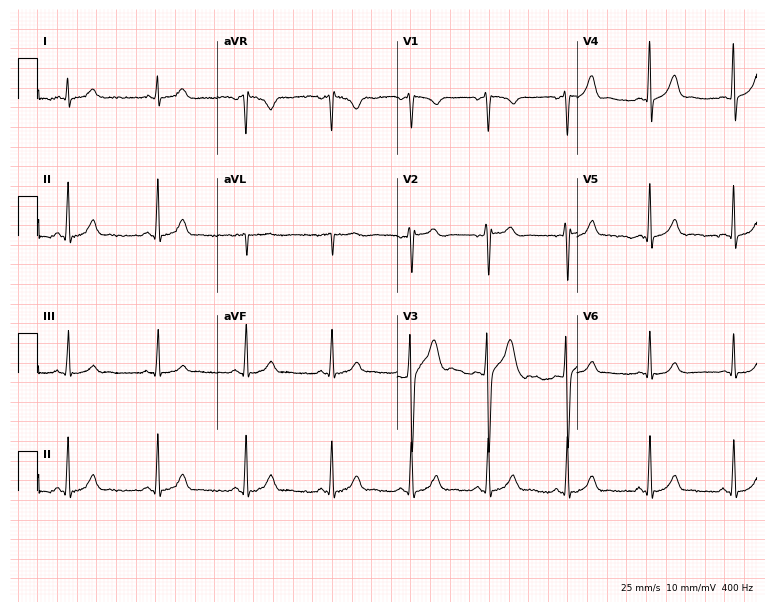
ECG (7.3-second recording at 400 Hz) — a 24-year-old male patient. Screened for six findings — first-degree AV block, right bundle branch block (RBBB), left bundle branch block (LBBB), sinus bradycardia, atrial fibrillation (AF), sinus tachycardia — none is recorded.